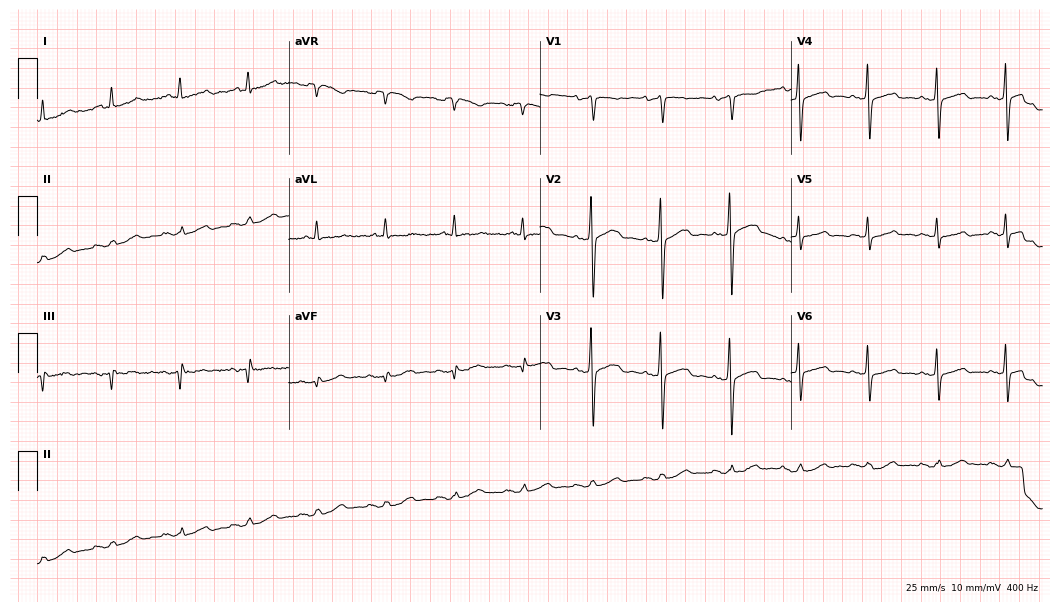
12-lead ECG from a female, 64 years old (10.2-second recording at 400 Hz). Recorded interpretation: within normal limits.